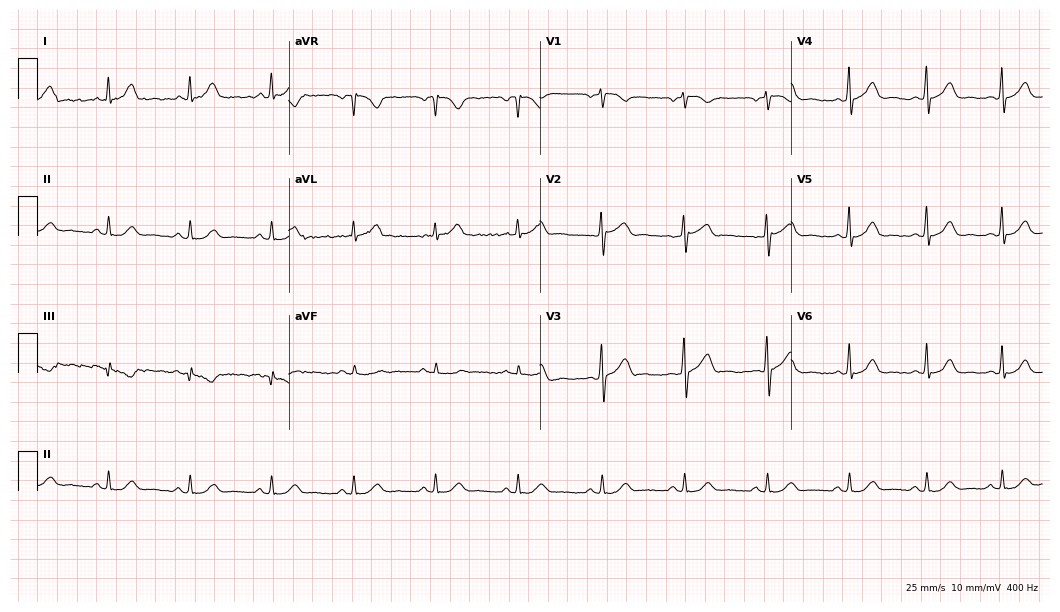
Electrocardiogram (10.2-second recording at 400 Hz), a 49-year-old male patient. Overall reading on record: normal ECG.